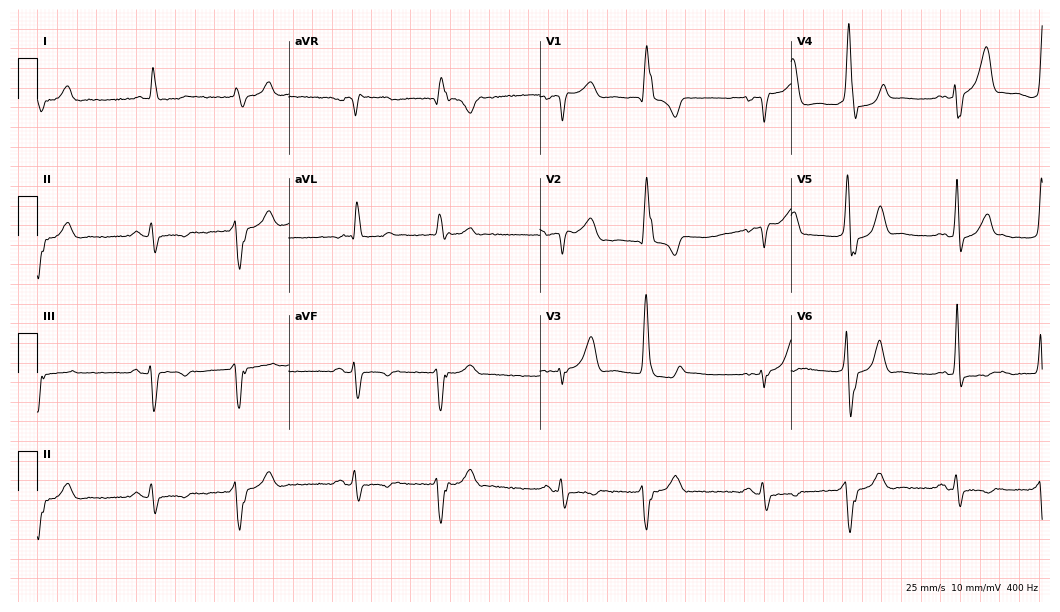
ECG (10.2-second recording at 400 Hz) — a male patient, 74 years old. Screened for six findings — first-degree AV block, right bundle branch block, left bundle branch block, sinus bradycardia, atrial fibrillation, sinus tachycardia — none is recorded.